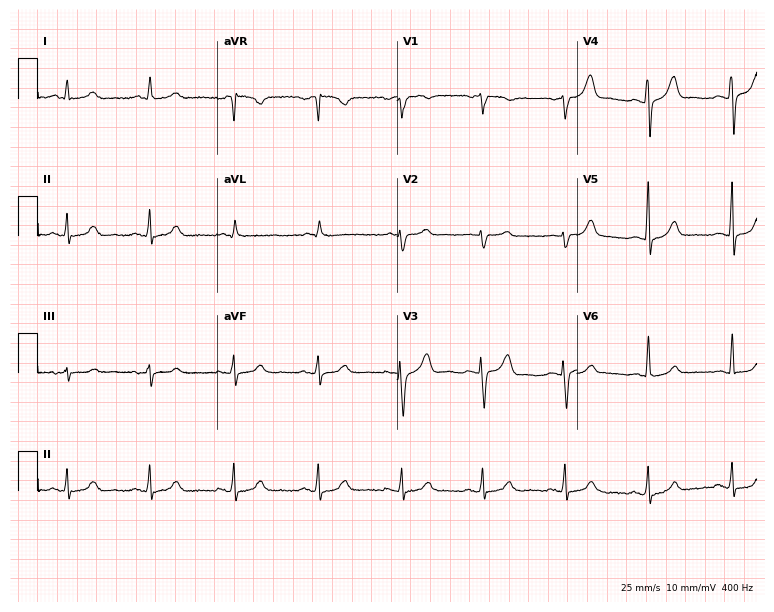
12-lead ECG from a female, 67 years old. Recorded interpretation: within normal limits.